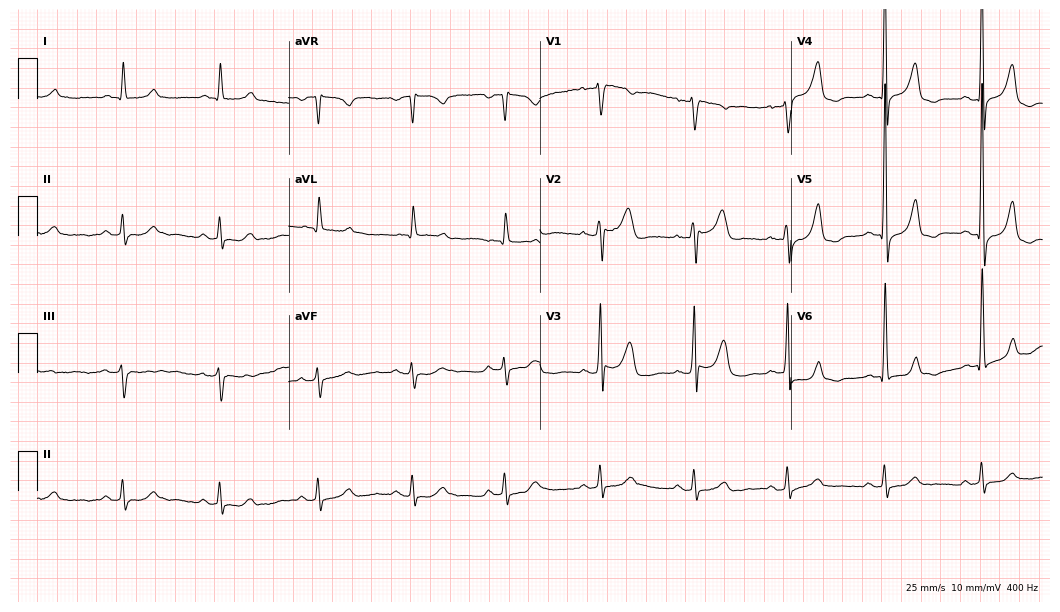
ECG (10.2-second recording at 400 Hz) — a male patient, 79 years old. Screened for six findings — first-degree AV block, right bundle branch block, left bundle branch block, sinus bradycardia, atrial fibrillation, sinus tachycardia — none is recorded.